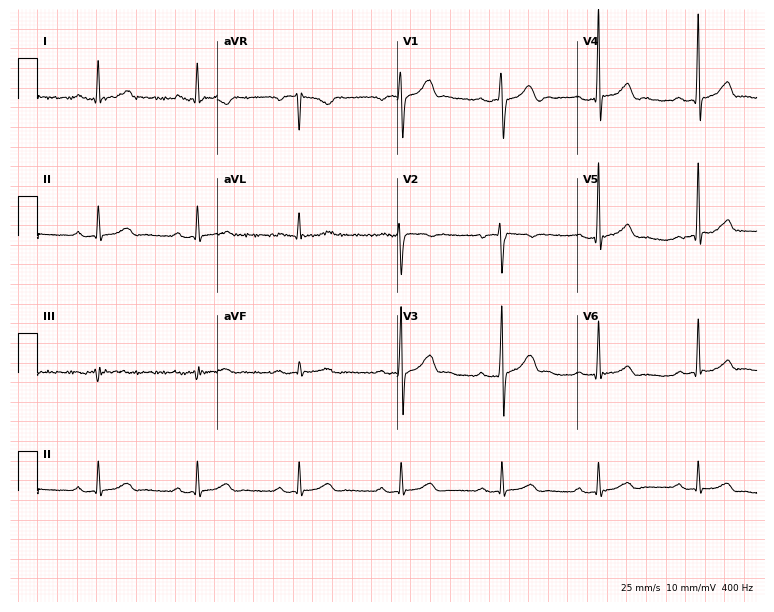
12-lead ECG from a man, 38 years old. Recorded interpretation: within normal limits.